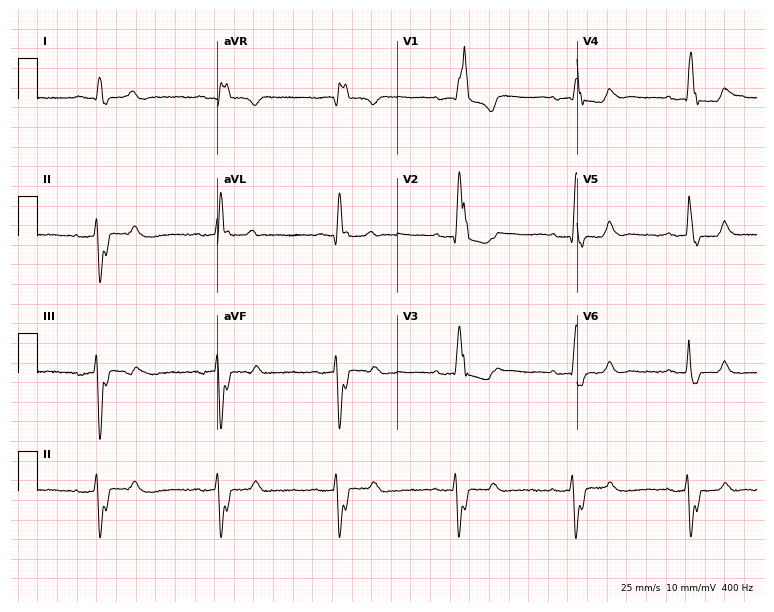
12-lead ECG from a 70-year-old male (7.3-second recording at 400 Hz). Shows right bundle branch block (RBBB).